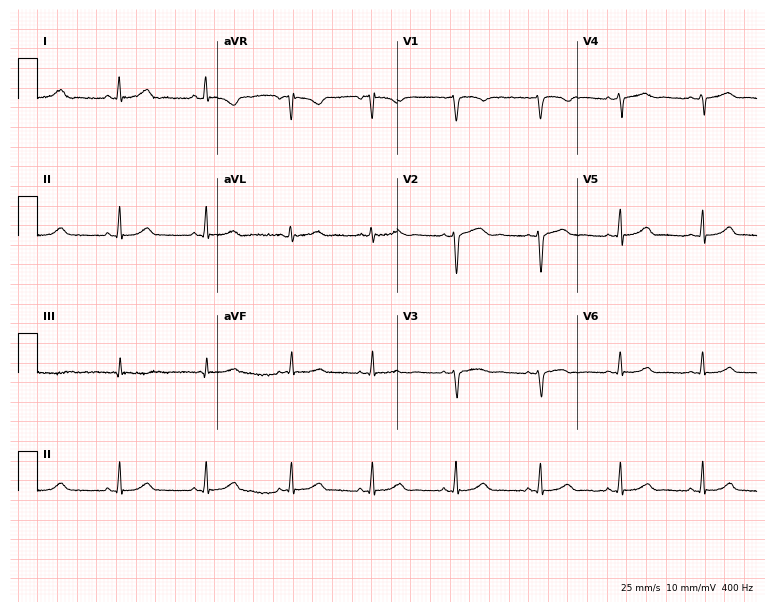
ECG (7.3-second recording at 400 Hz) — a female patient, 38 years old. Screened for six findings — first-degree AV block, right bundle branch block (RBBB), left bundle branch block (LBBB), sinus bradycardia, atrial fibrillation (AF), sinus tachycardia — none is recorded.